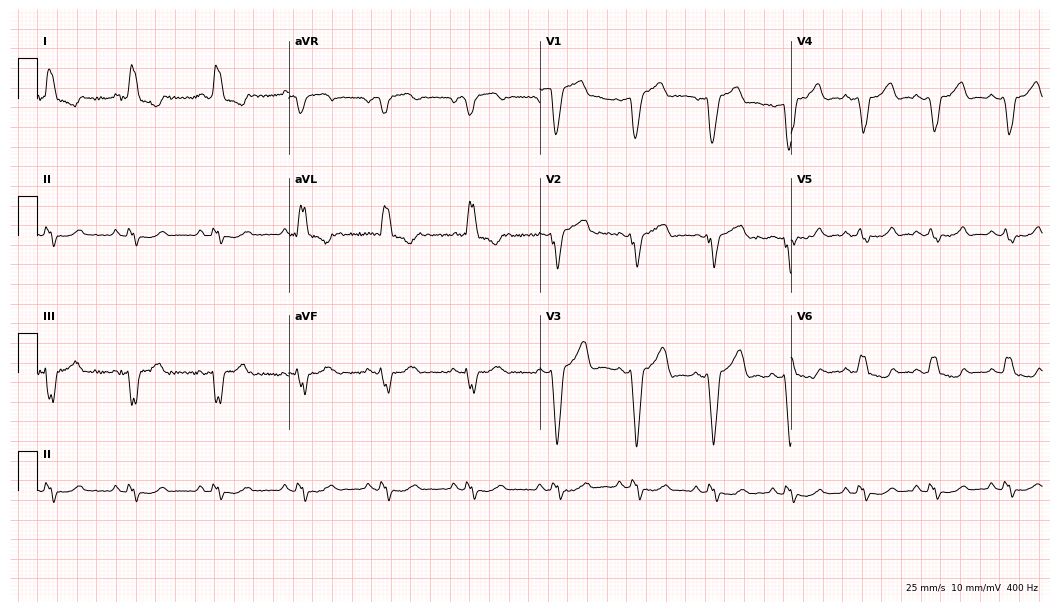
12-lead ECG from a man, 42 years old. No first-degree AV block, right bundle branch block, left bundle branch block, sinus bradycardia, atrial fibrillation or sinus tachycardia recorded for this tracing.